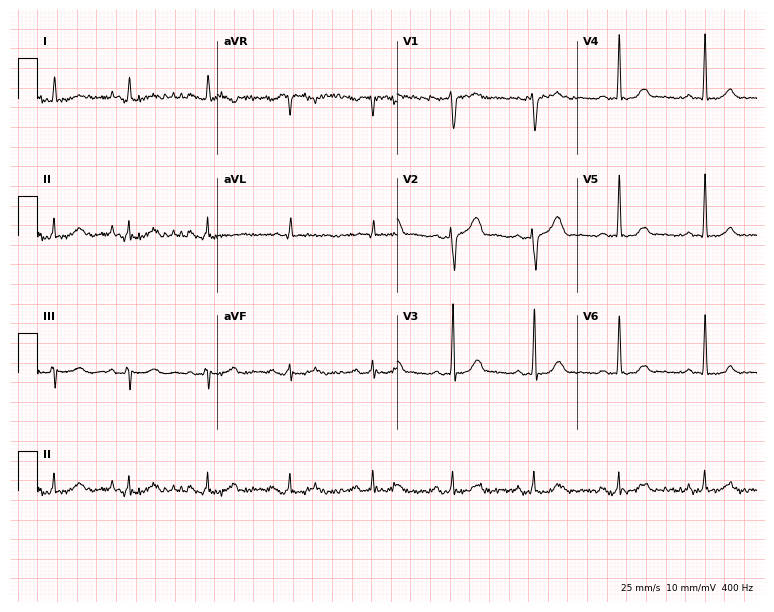
12-lead ECG from a male, 55 years old. Recorded interpretation: within normal limits.